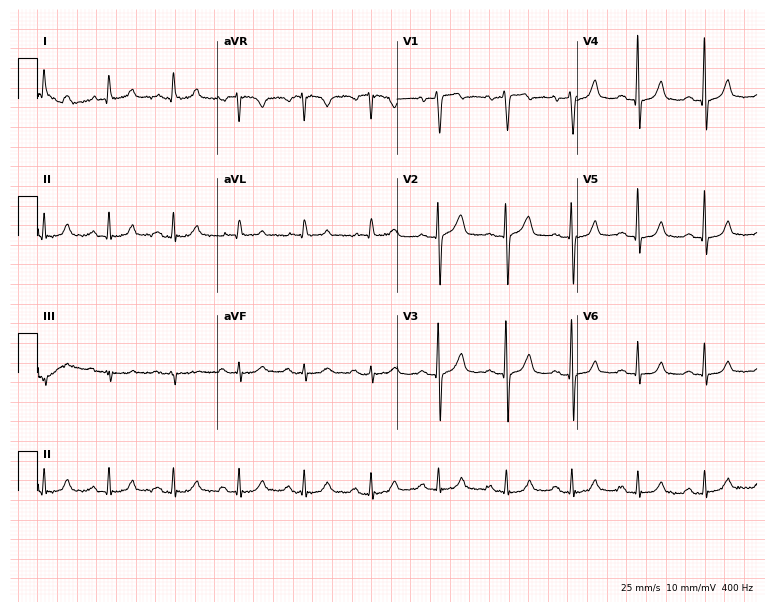
ECG (7.3-second recording at 400 Hz) — a 72-year-old man. Labelled as a normal ECG.